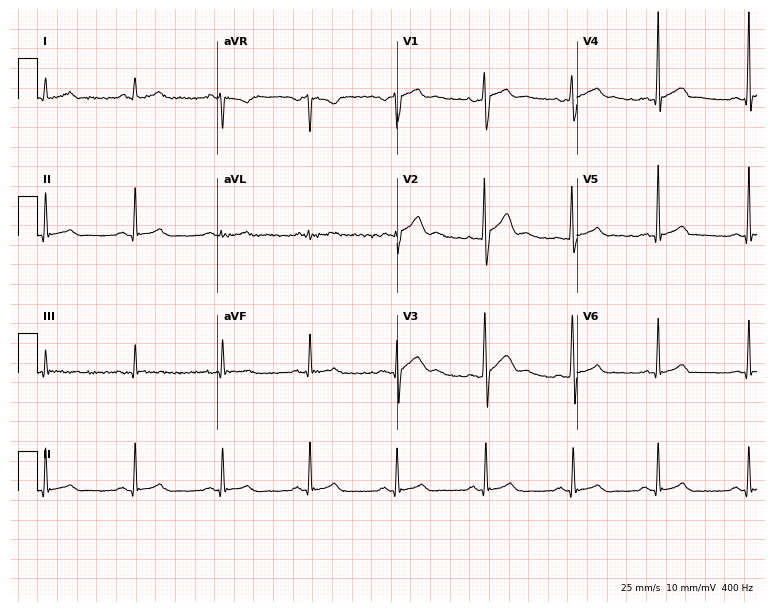
12-lead ECG from a 31-year-old male patient. Recorded interpretation: within normal limits.